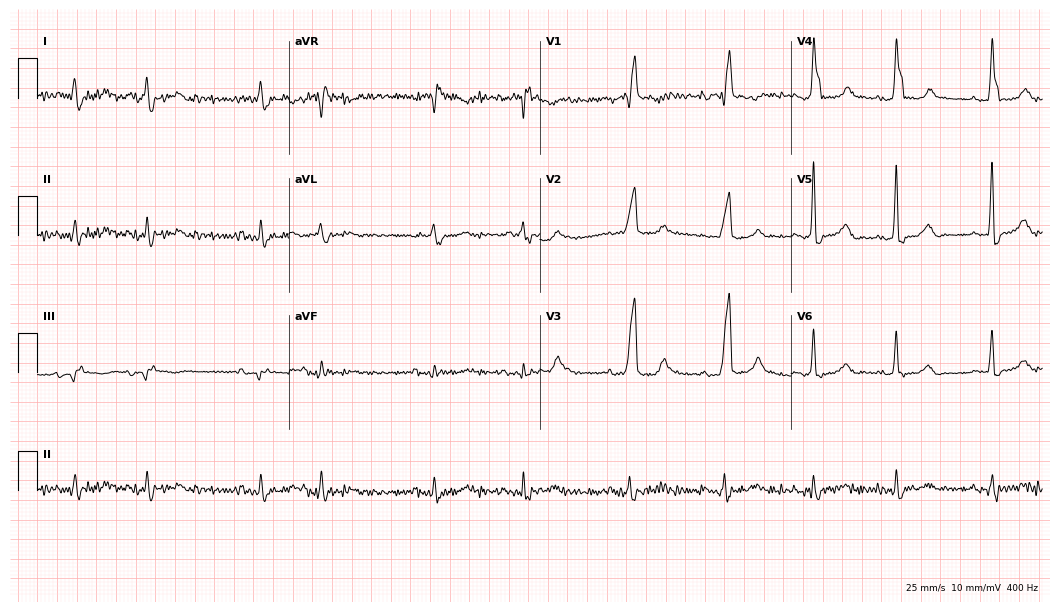
Standard 12-lead ECG recorded from a male, 70 years old (10.2-second recording at 400 Hz). None of these six findings is recorded: first-degree AV block, right bundle branch block, left bundle branch block, sinus bradycardia, atrial fibrillation, sinus tachycardia.